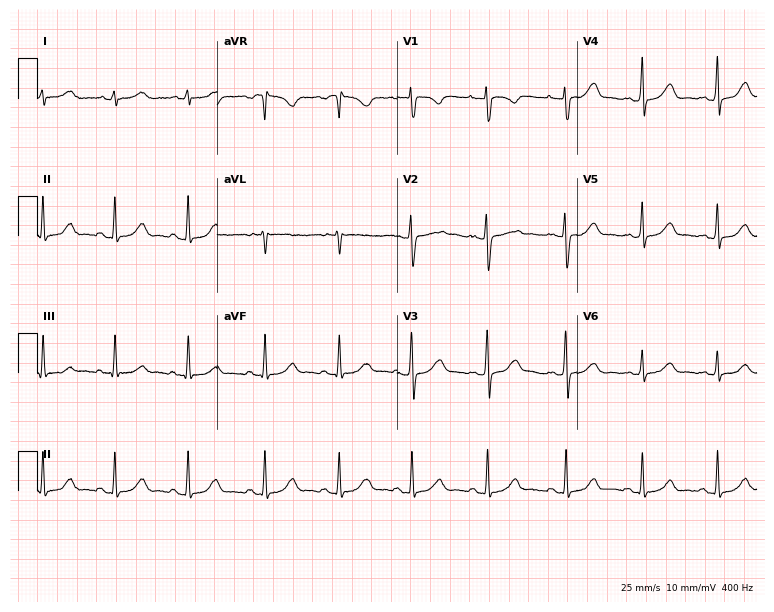
12-lead ECG (7.3-second recording at 400 Hz) from a female, 34 years old. Labelled as a normal ECG.